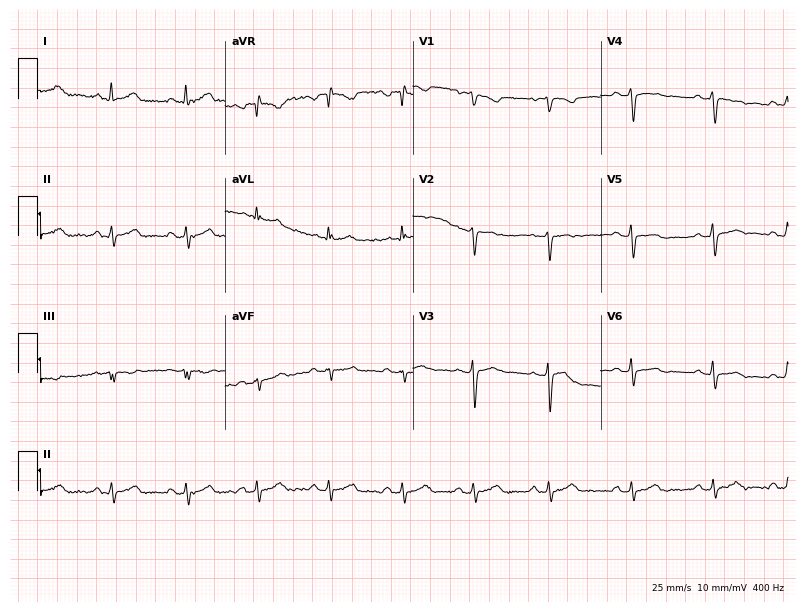
12-lead ECG from a 30-year-old female patient (7.7-second recording at 400 Hz). No first-degree AV block, right bundle branch block (RBBB), left bundle branch block (LBBB), sinus bradycardia, atrial fibrillation (AF) or sinus tachycardia recorded for this tracing.